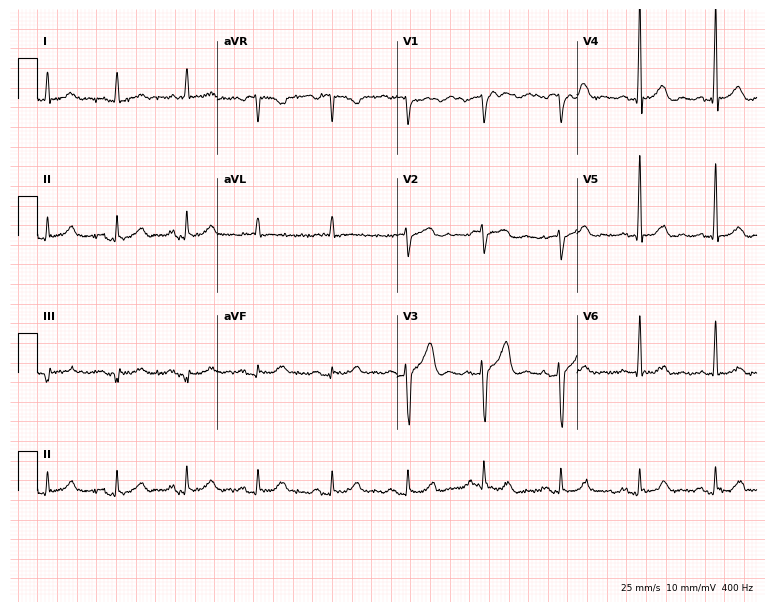
12-lead ECG from a male, 68 years old (7.3-second recording at 400 Hz). Recorded interpretation: within normal limits.